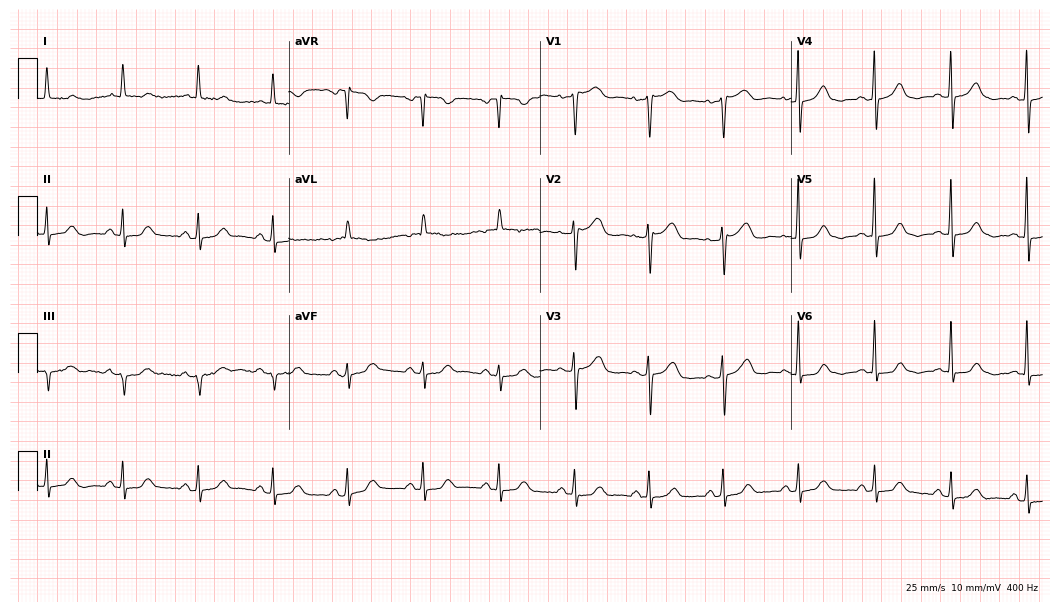
Electrocardiogram, a female, 82 years old. Overall reading on record: normal ECG.